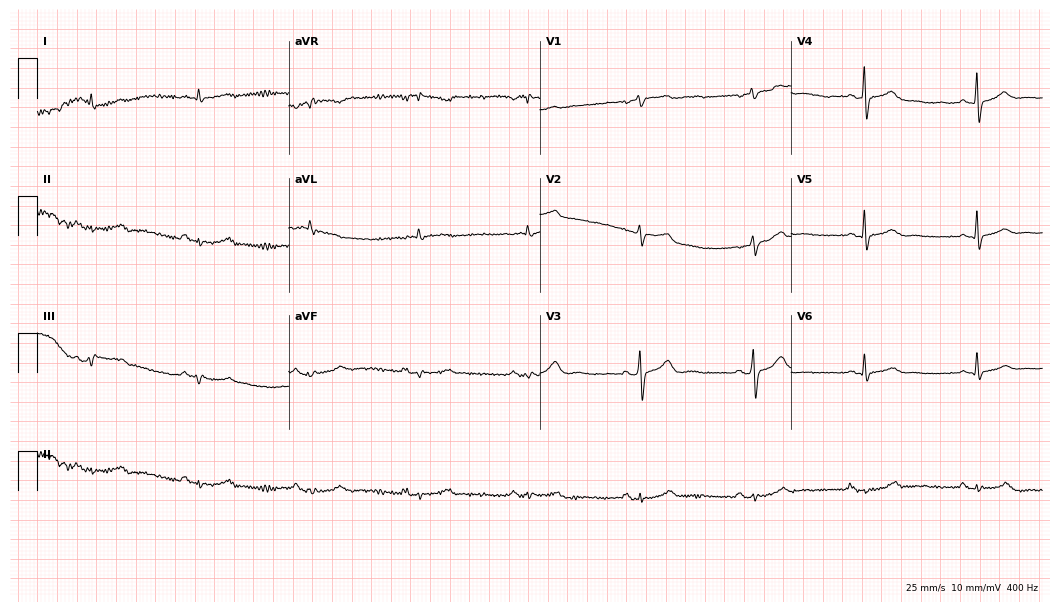
ECG (10.2-second recording at 400 Hz) — a 58-year-old male. Screened for six findings — first-degree AV block, right bundle branch block, left bundle branch block, sinus bradycardia, atrial fibrillation, sinus tachycardia — none is recorded.